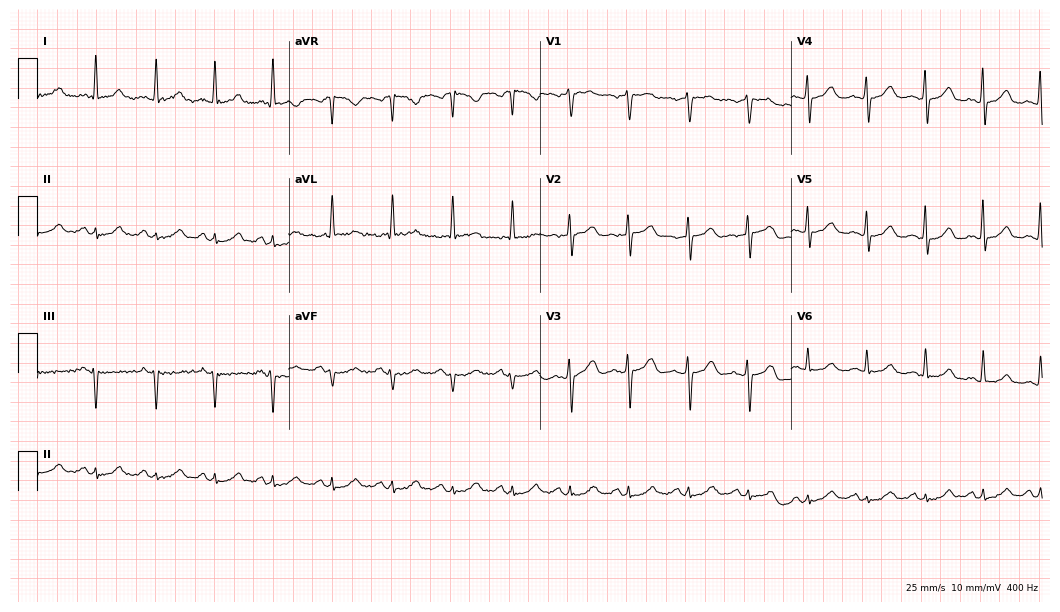
Electrocardiogram, a 58-year-old female. Overall reading on record: normal ECG.